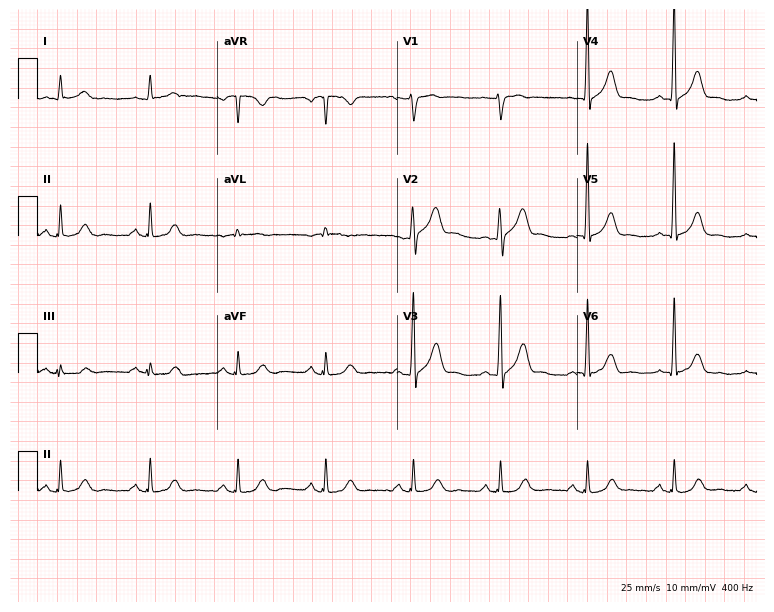
12-lead ECG from a 71-year-old man (7.3-second recording at 400 Hz). No first-degree AV block, right bundle branch block, left bundle branch block, sinus bradycardia, atrial fibrillation or sinus tachycardia recorded for this tracing. Findings outside these six are not listed.